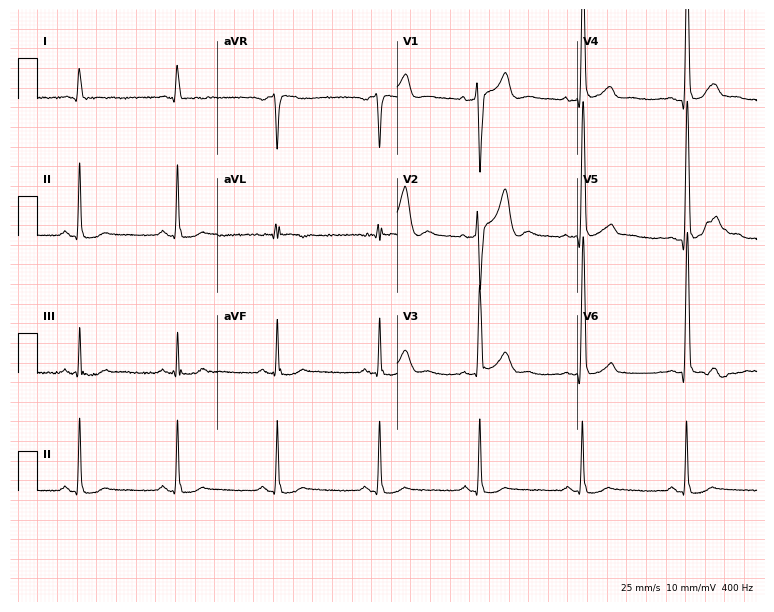
Standard 12-lead ECG recorded from a man, 40 years old (7.3-second recording at 400 Hz). None of these six findings is recorded: first-degree AV block, right bundle branch block (RBBB), left bundle branch block (LBBB), sinus bradycardia, atrial fibrillation (AF), sinus tachycardia.